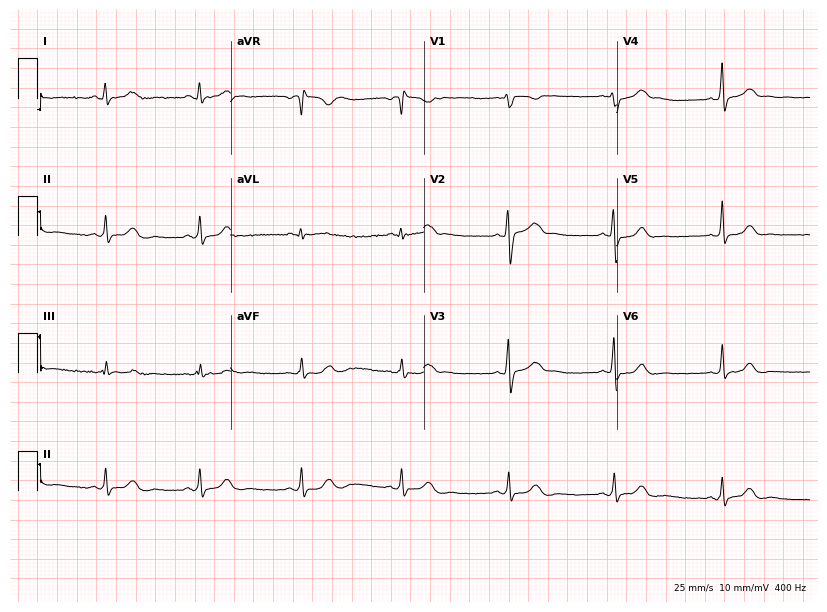
ECG (7.9-second recording at 400 Hz) — a 25-year-old female patient. Screened for six findings — first-degree AV block, right bundle branch block (RBBB), left bundle branch block (LBBB), sinus bradycardia, atrial fibrillation (AF), sinus tachycardia — none is recorded.